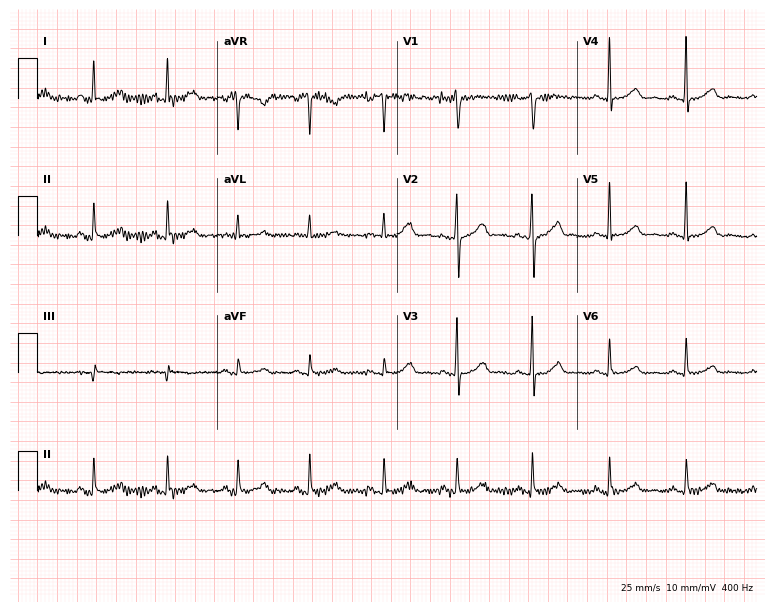
12-lead ECG from a 45-year-old female. Labelled as a normal ECG.